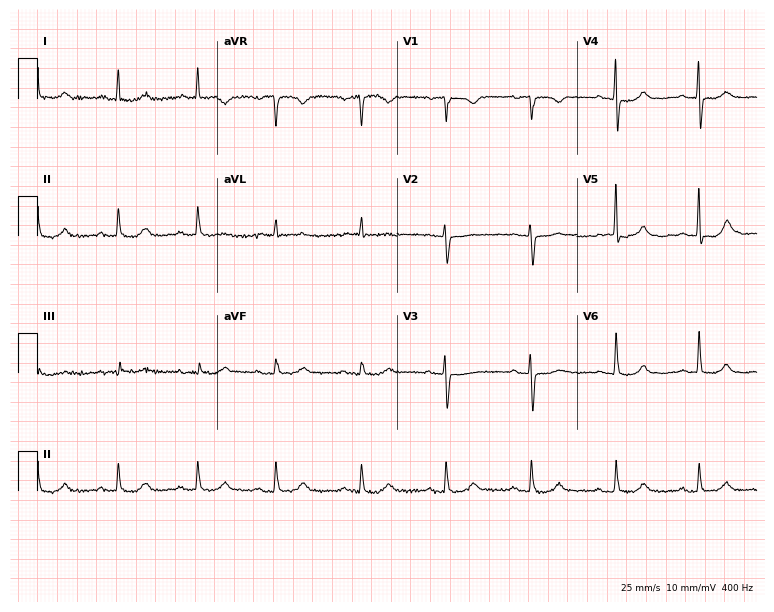
12-lead ECG from a female, 80 years old. No first-degree AV block, right bundle branch block, left bundle branch block, sinus bradycardia, atrial fibrillation or sinus tachycardia recorded for this tracing.